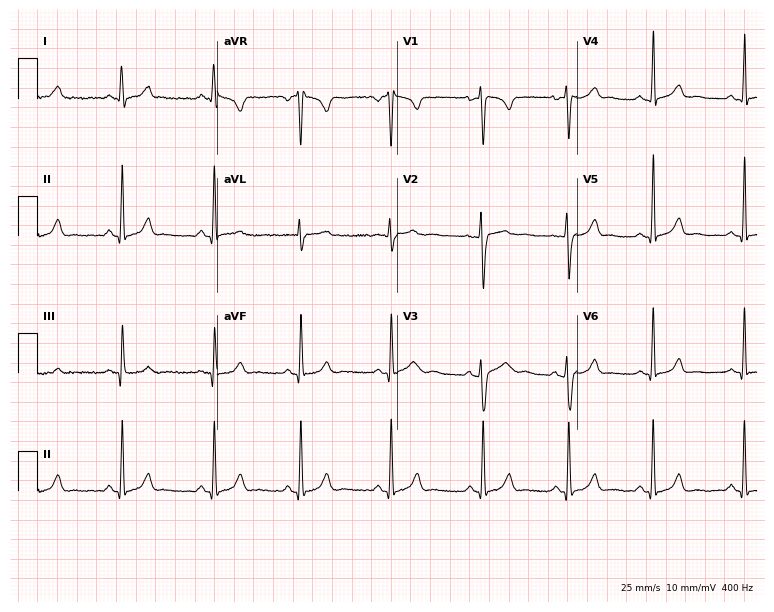
12-lead ECG from a female, 32 years old. Recorded interpretation: within normal limits.